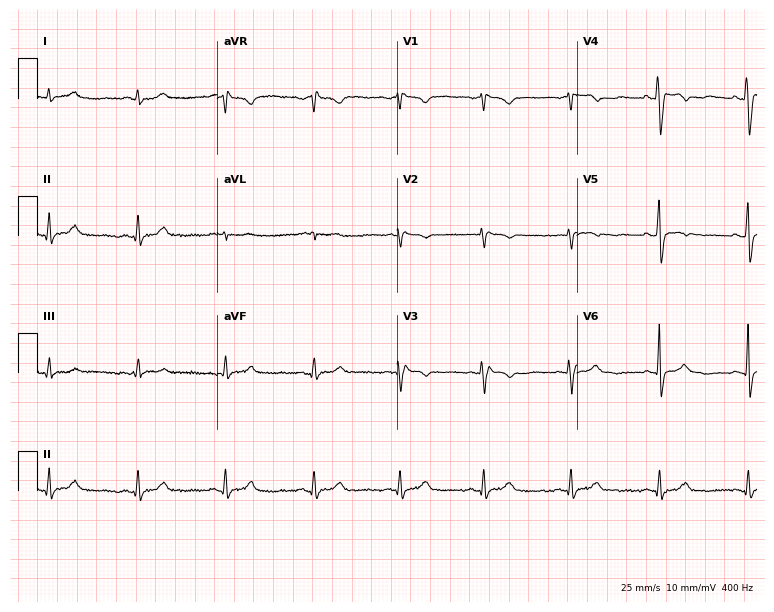
Electrocardiogram (7.3-second recording at 400 Hz), a female patient, 41 years old. Of the six screened findings (first-degree AV block, right bundle branch block, left bundle branch block, sinus bradycardia, atrial fibrillation, sinus tachycardia), none is recorded.